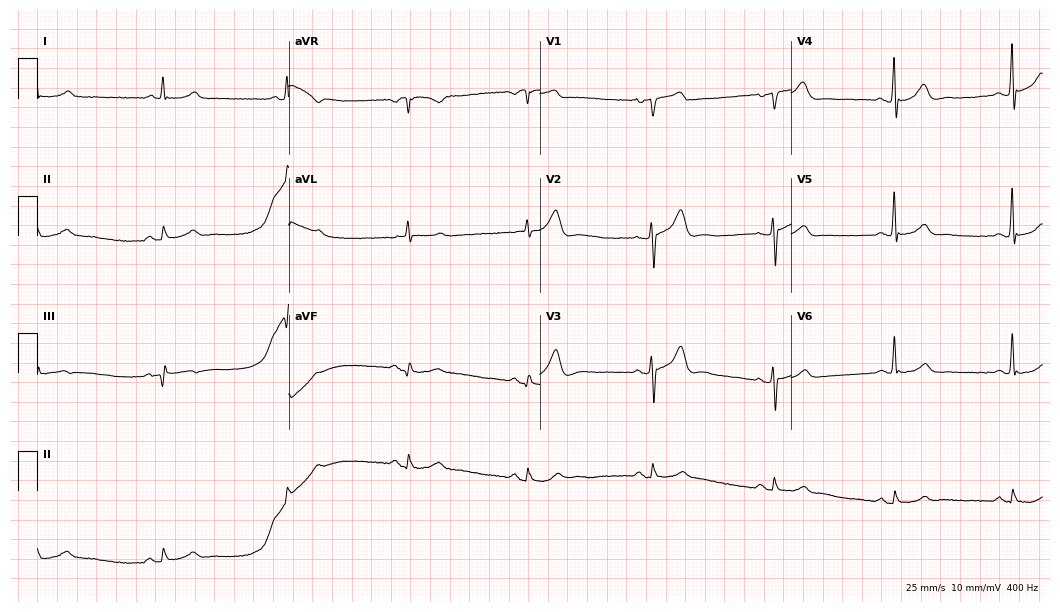
ECG (10.2-second recording at 400 Hz) — a 73-year-old man. Screened for six findings — first-degree AV block, right bundle branch block, left bundle branch block, sinus bradycardia, atrial fibrillation, sinus tachycardia — none is recorded. Only these six findings were labelled.